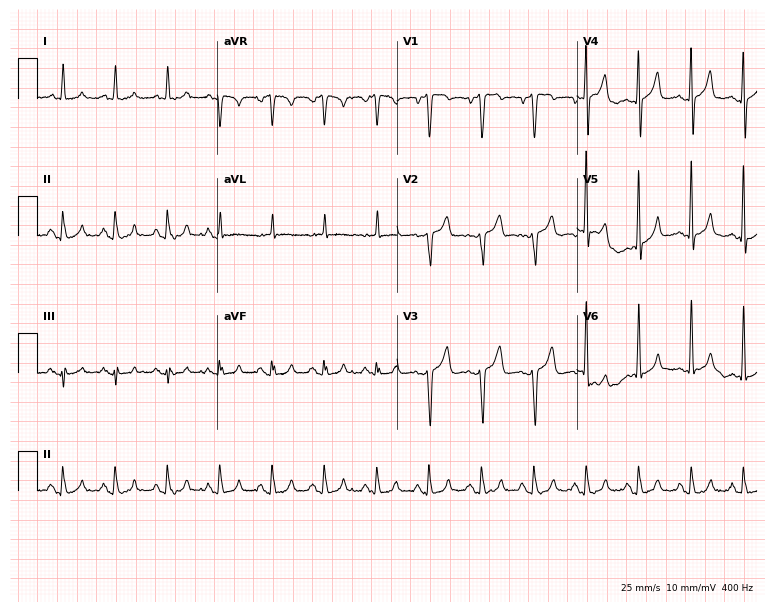
Standard 12-lead ECG recorded from a 67-year-old male. The tracing shows sinus tachycardia (a sinus rate of 100 beats per minute or more).